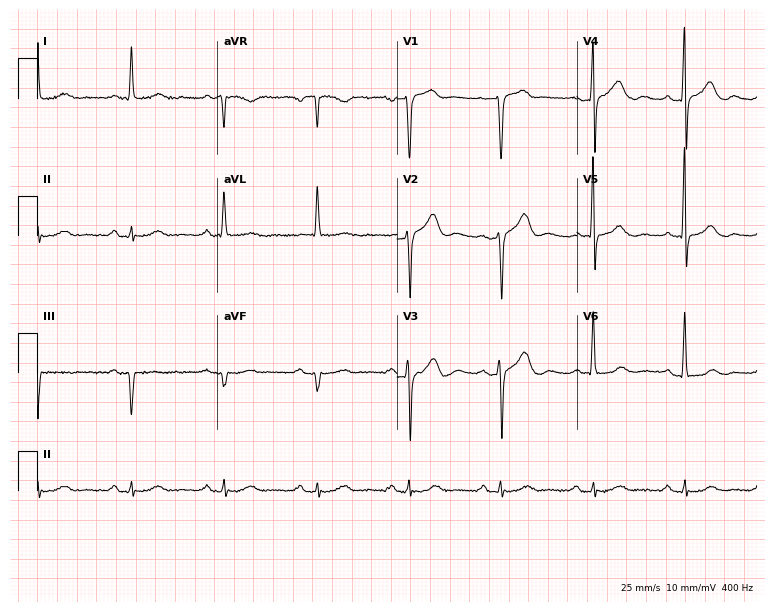
12-lead ECG (7.3-second recording at 400 Hz) from a male, 68 years old. Findings include first-degree AV block.